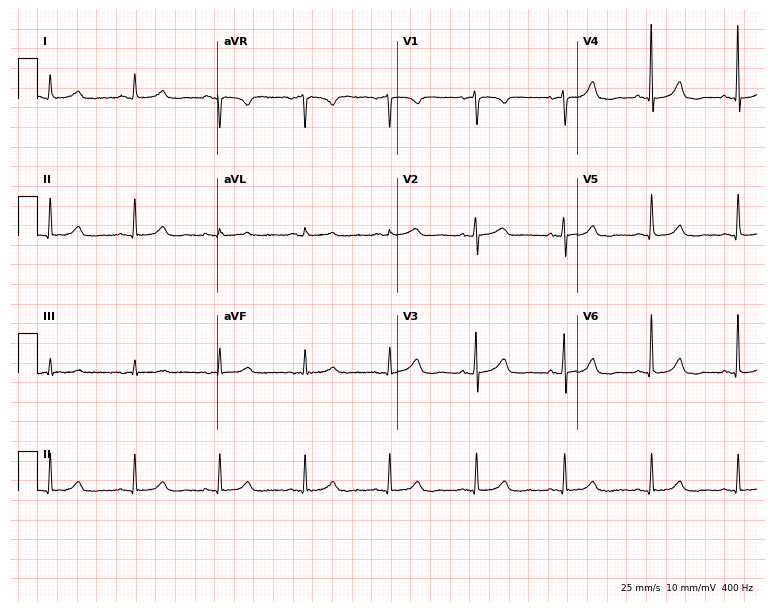
ECG — an 84-year-old female patient. Labelled as a normal ECG.